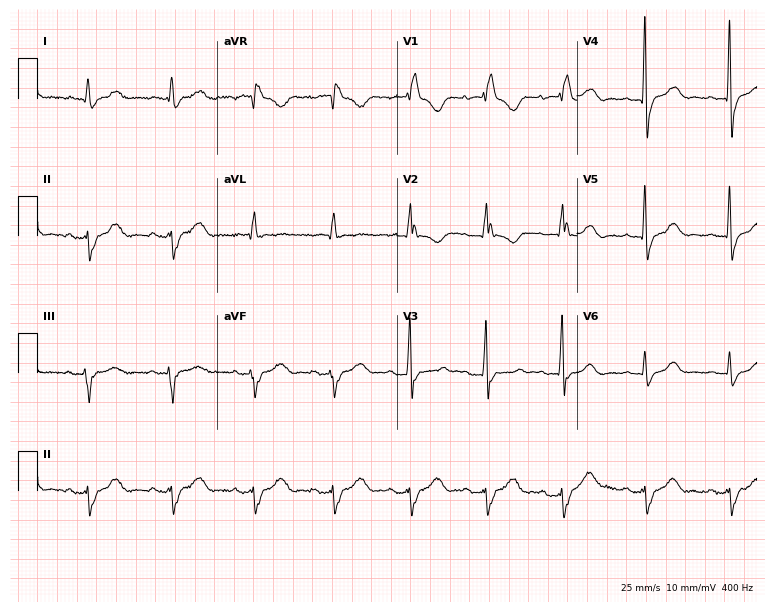
12-lead ECG (7.3-second recording at 400 Hz) from a 57-year-old woman. Findings include right bundle branch block (RBBB).